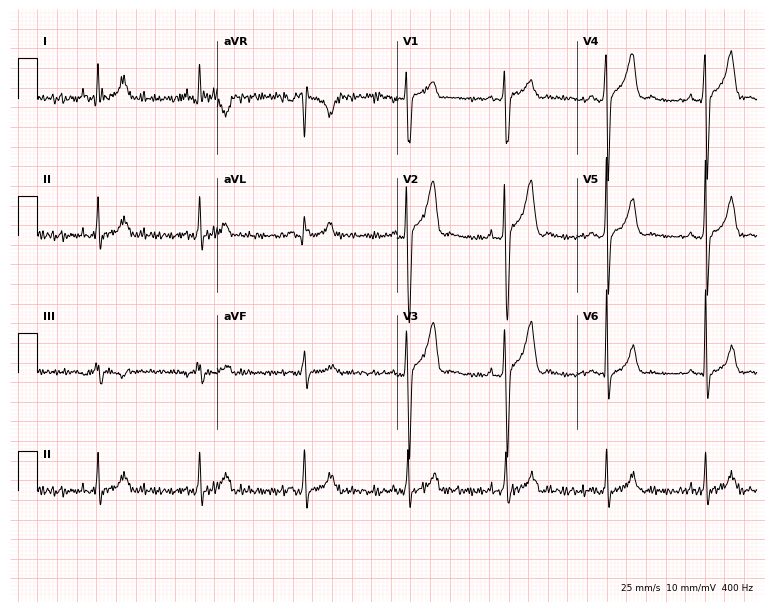
Electrocardiogram (7.3-second recording at 400 Hz), a man, 33 years old. Overall reading on record: normal ECG.